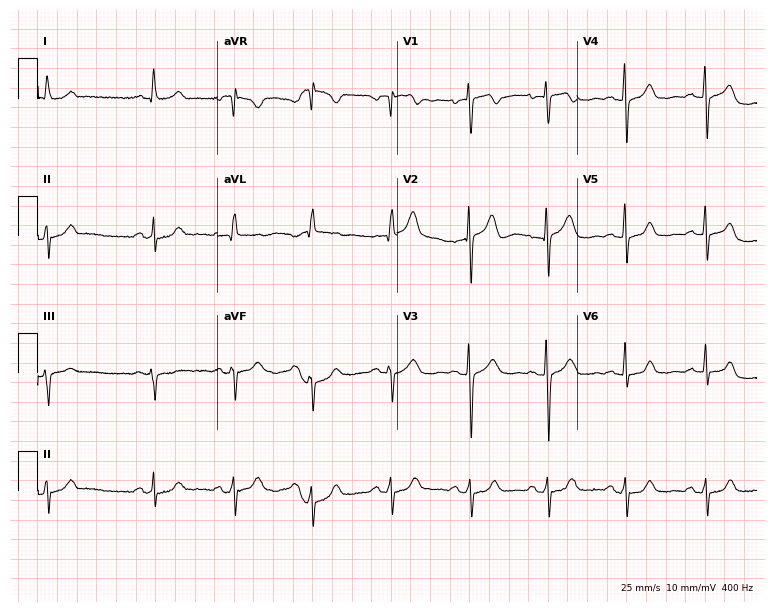
Standard 12-lead ECG recorded from a woman, 63 years old (7.3-second recording at 400 Hz). None of these six findings is recorded: first-degree AV block, right bundle branch block, left bundle branch block, sinus bradycardia, atrial fibrillation, sinus tachycardia.